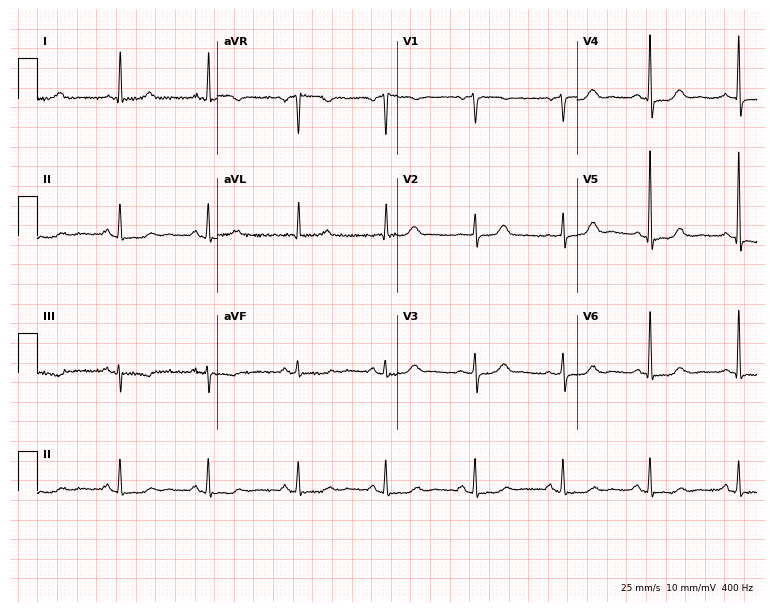
Resting 12-lead electrocardiogram. Patient: a 69-year-old female. Read as a normal ECG.